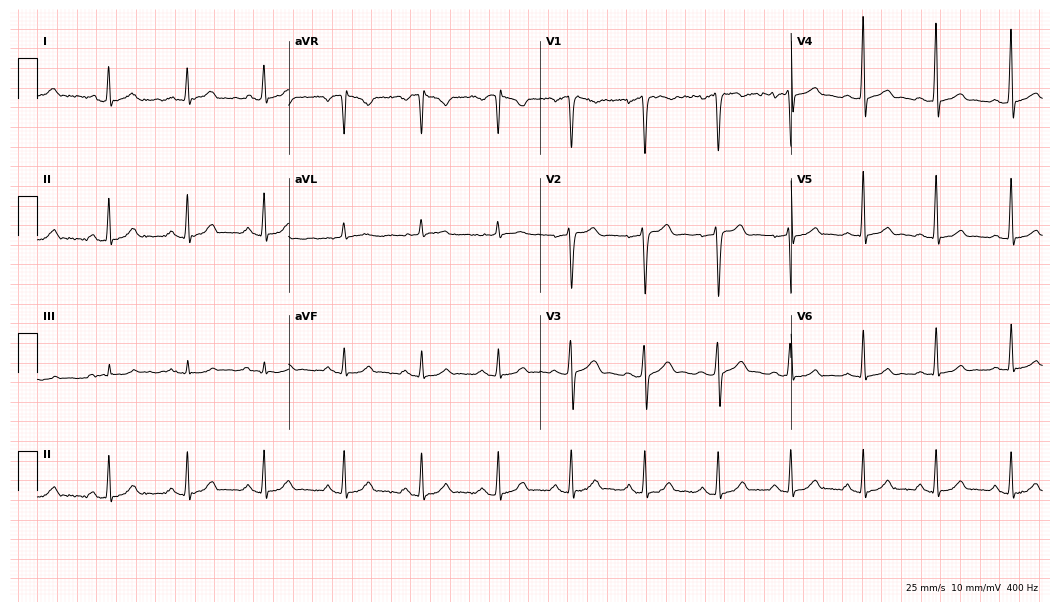
Resting 12-lead electrocardiogram. Patient: a man, 38 years old. Read as a normal ECG.